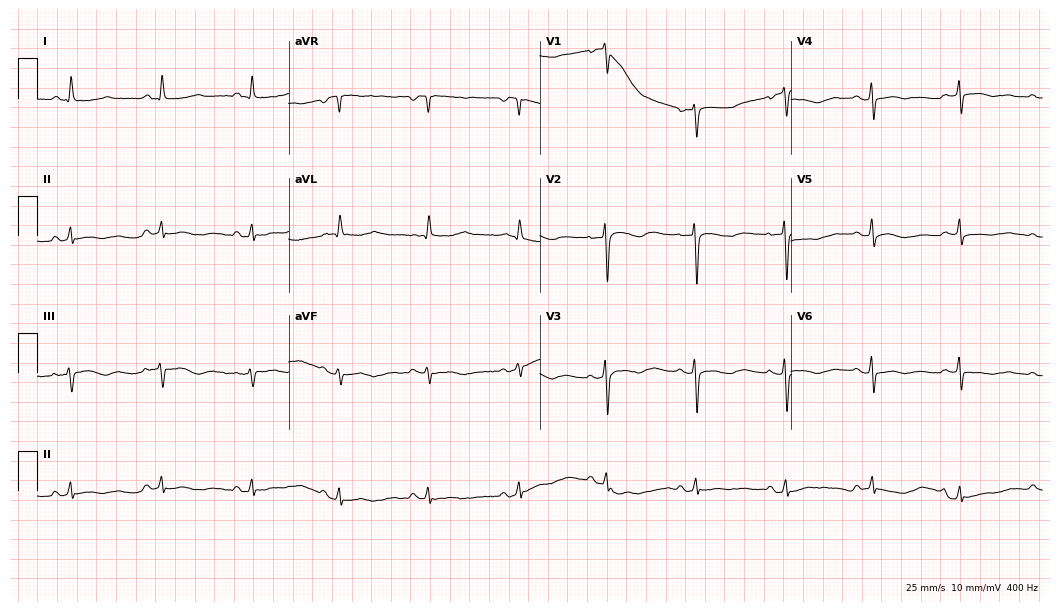
12-lead ECG from a 56-year-old woman (10.2-second recording at 400 Hz). No first-degree AV block, right bundle branch block, left bundle branch block, sinus bradycardia, atrial fibrillation or sinus tachycardia recorded for this tracing. Only these six findings were labelled.